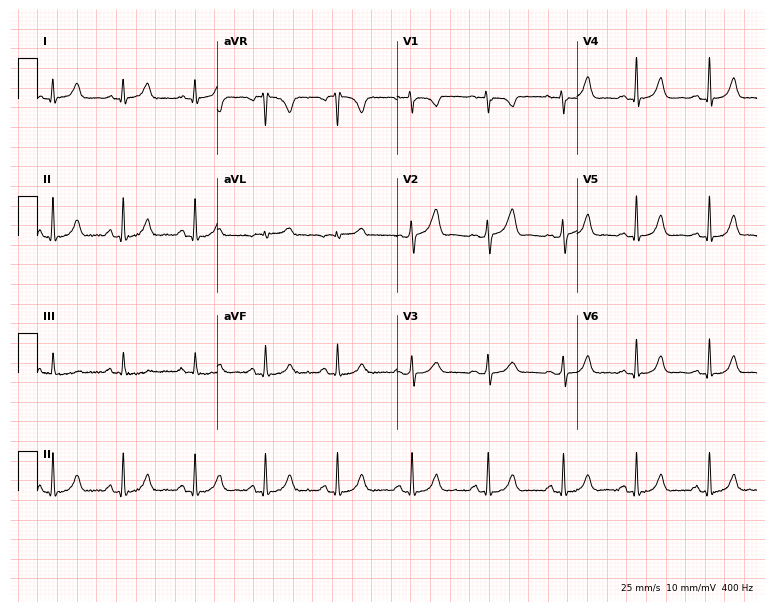
12-lead ECG from a 41-year-old female. Recorded interpretation: within normal limits.